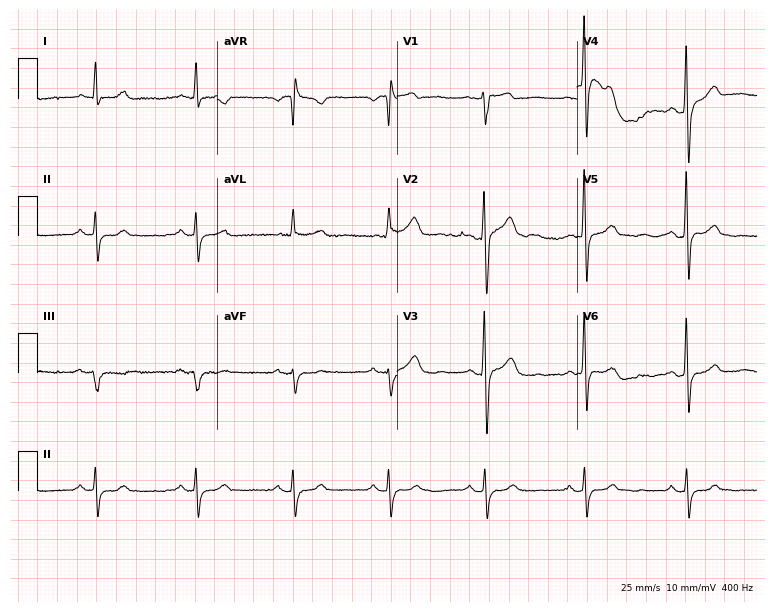
Standard 12-lead ECG recorded from a male, 58 years old (7.3-second recording at 400 Hz). None of these six findings is recorded: first-degree AV block, right bundle branch block (RBBB), left bundle branch block (LBBB), sinus bradycardia, atrial fibrillation (AF), sinus tachycardia. Other findings, if any, are not listed.